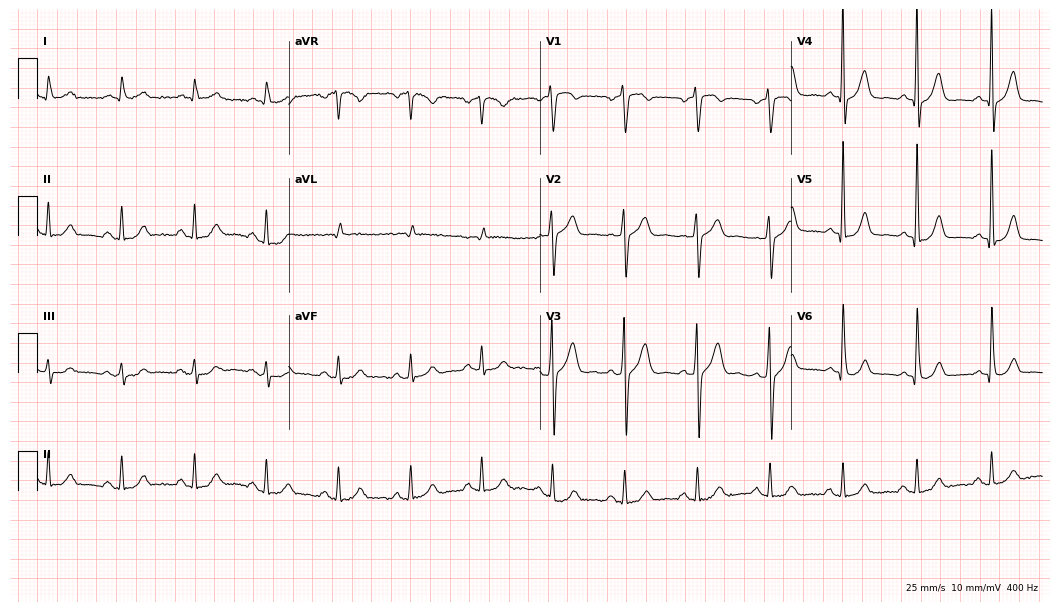
12-lead ECG from a 69-year-old man. Labelled as a normal ECG.